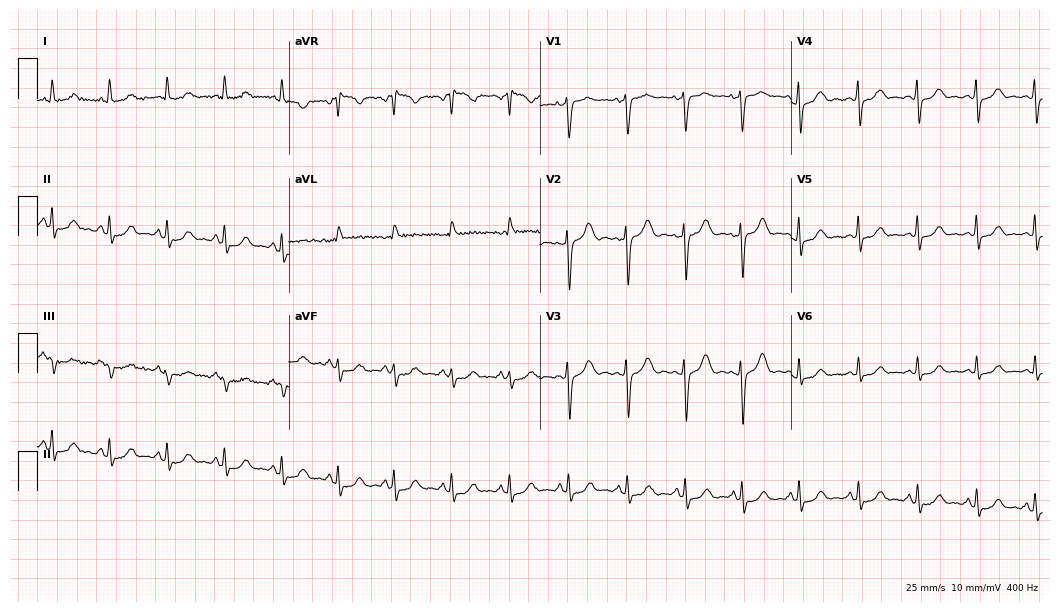
ECG (10.2-second recording at 400 Hz) — a female patient, 36 years old. Findings include sinus tachycardia (a sinus rate of 100 beats per minute or more).